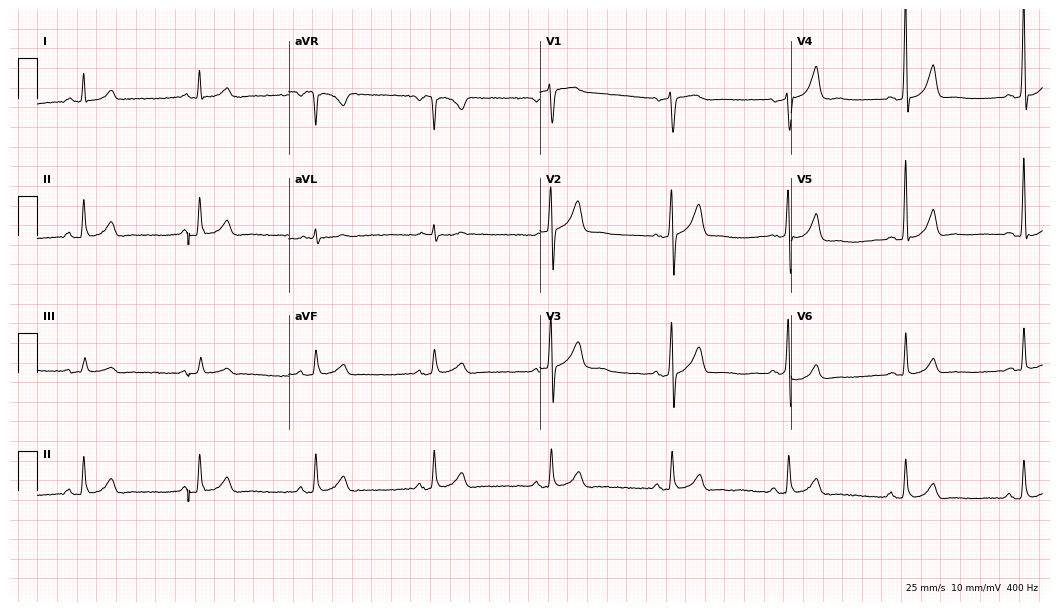
12-lead ECG from a male patient, 62 years old. Recorded interpretation: within normal limits.